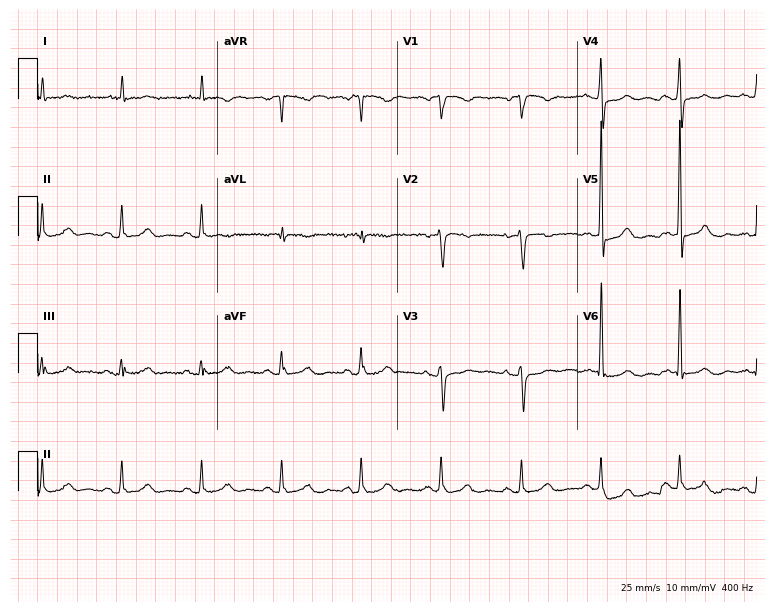
12-lead ECG from a 77-year-old woman (7.3-second recording at 400 Hz). No first-degree AV block, right bundle branch block, left bundle branch block, sinus bradycardia, atrial fibrillation or sinus tachycardia recorded for this tracing. Other findings, if any, are not listed.